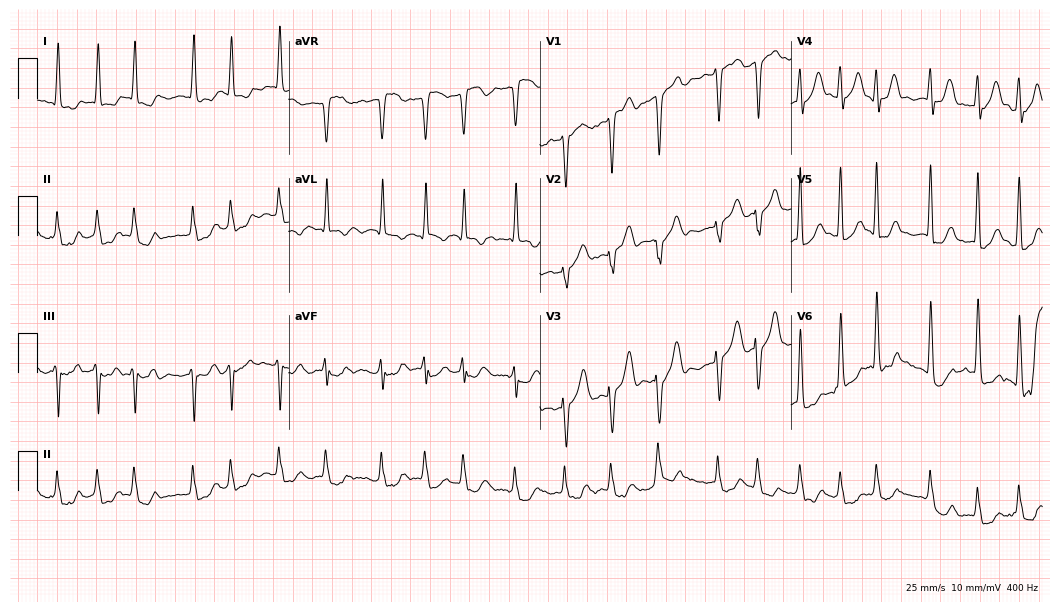
12-lead ECG from a female patient, 86 years old (10.2-second recording at 400 Hz). Shows atrial fibrillation (AF).